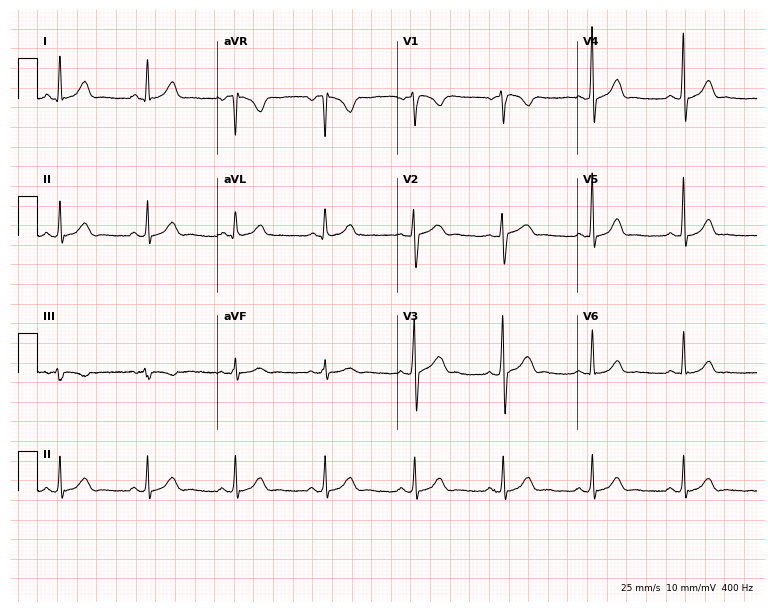
Electrocardiogram, a man, 37 years old. Overall reading on record: normal ECG.